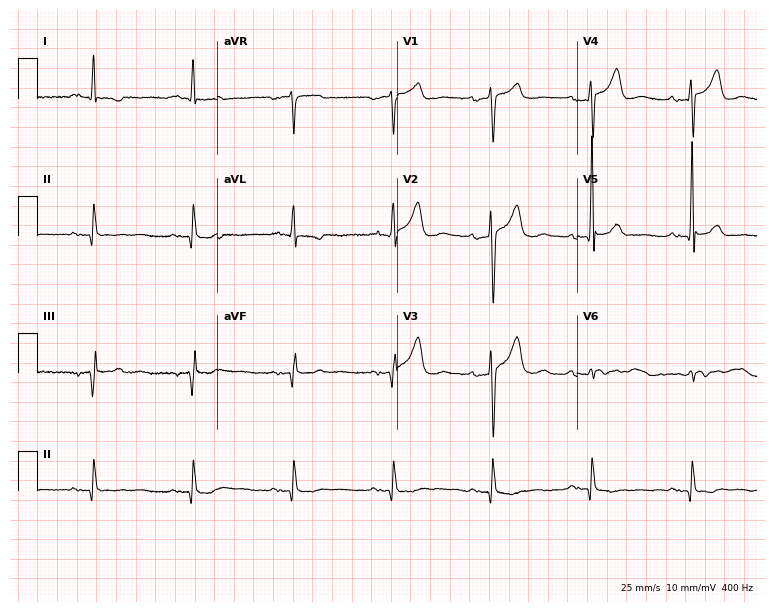
Resting 12-lead electrocardiogram (7.3-second recording at 400 Hz). Patient: an 85-year-old male. The tracing shows first-degree AV block.